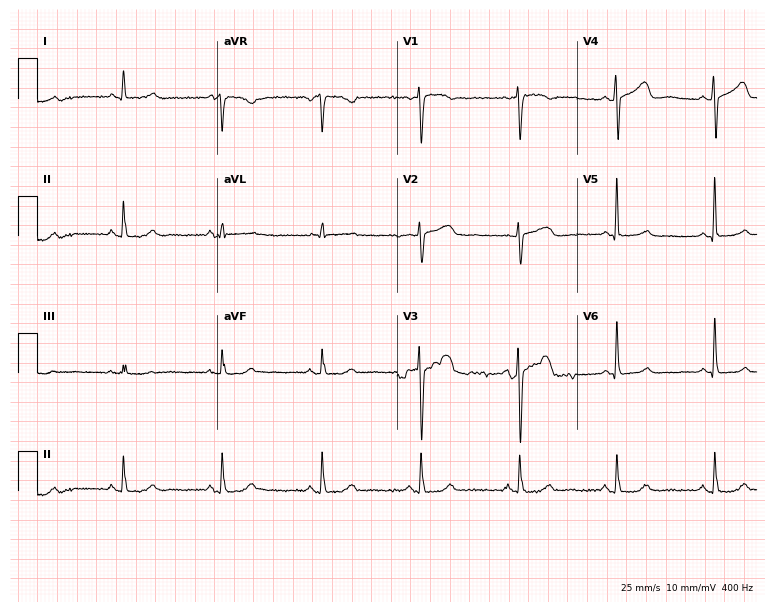
Resting 12-lead electrocardiogram (7.3-second recording at 400 Hz). Patient: a 62-year-old female. Read as a normal ECG.